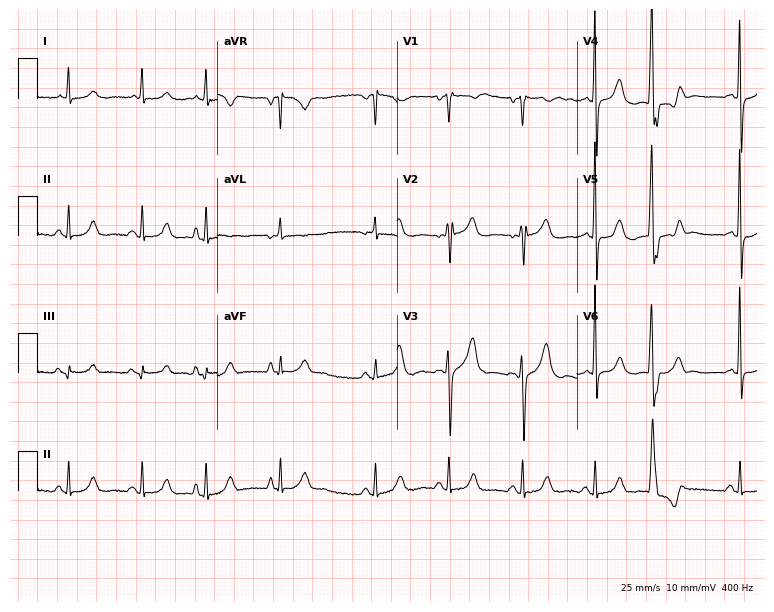
Standard 12-lead ECG recorded from a woman, 78 years old. None of these six findings is recorded: first-degree AV block, right bundle branch block, left bundle branch block, sinus bradycardia, atrial fibrillation, sinus tachycardia.